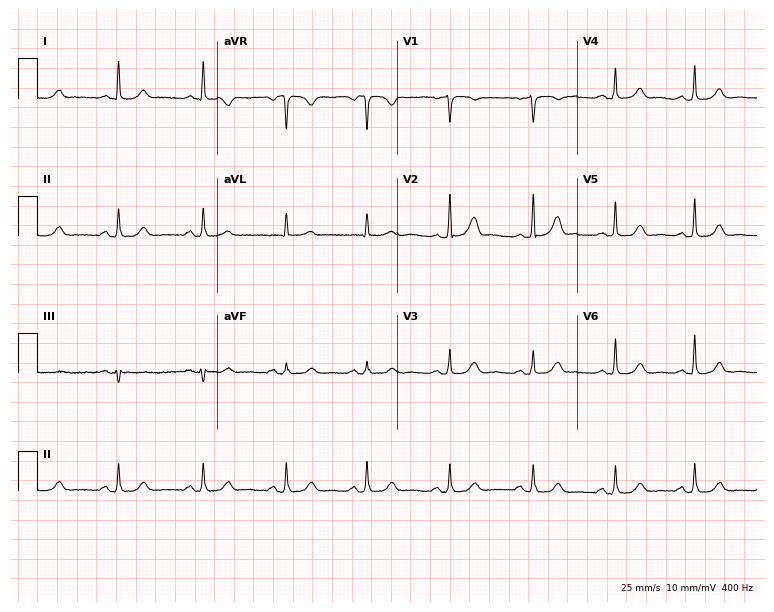
Standard 12-lead ECG recorded from a 68-year-old woman. Read as a normal ECG.